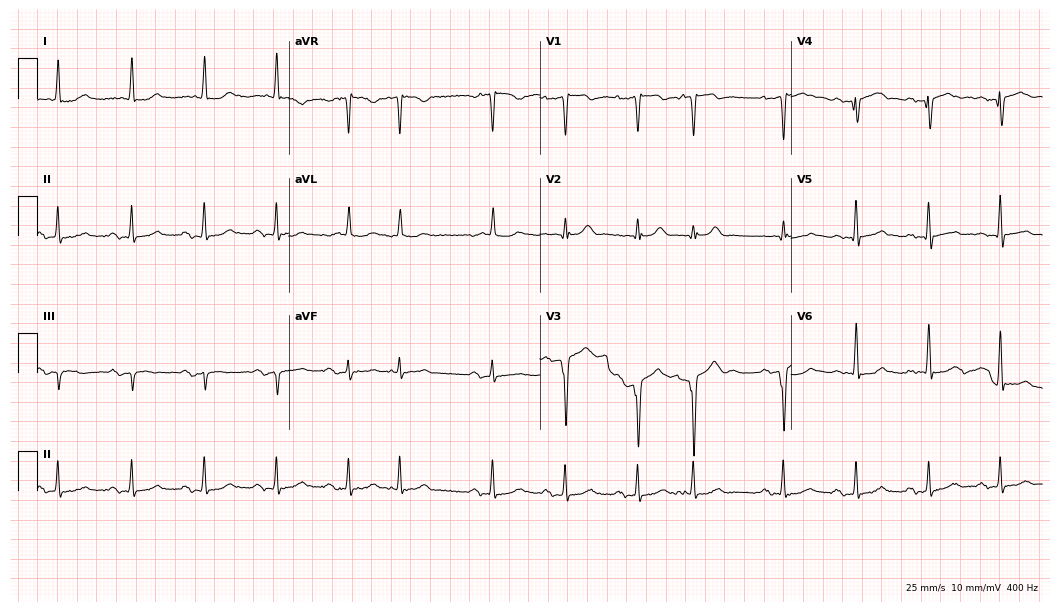
12-lead ECG (10.2-second recording at 400 Hz) from a male patient, 78 years old. Screened for six findings — first-degree AV block, right bundle branch block, left bundle branch block, sinus bradycardia, atrial fibrillation, sinus tachycardia — none is recorded.